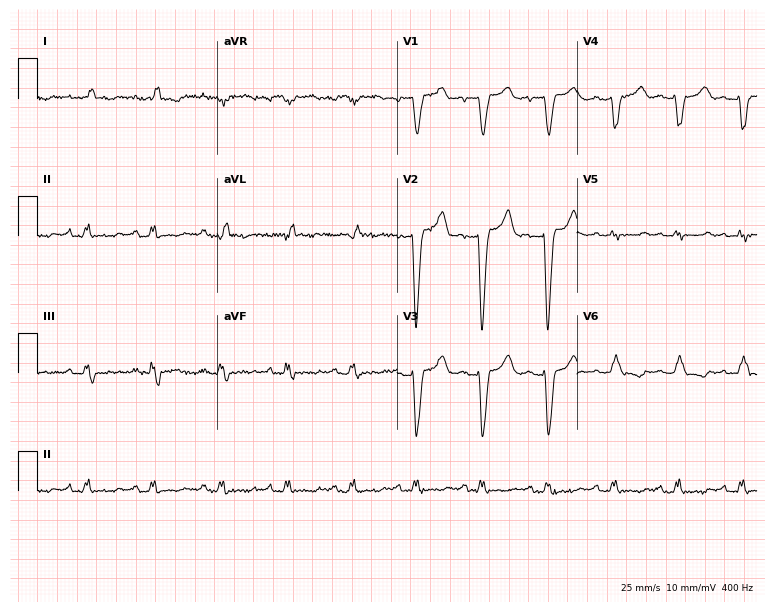
Electrocardiogram (7.3-second recording at 400 Hz), a 66-year-old female patient. Interpretation includes left bundle branch block.